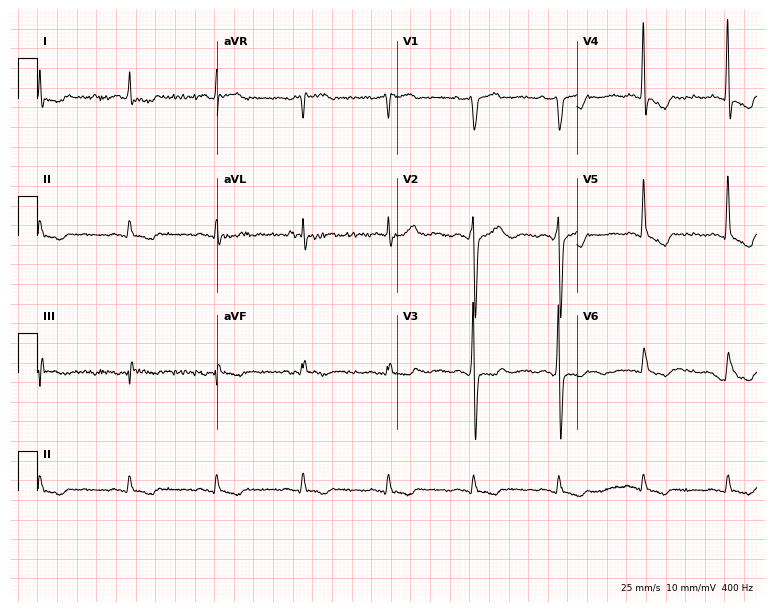
12-lead ECG from a 46-year-old male. No first-degree AV block, right bundle branch block, left bundle branch block, sinus bradycardia, atrial fibrillation or sinus tachycardia recorded for this tracing.